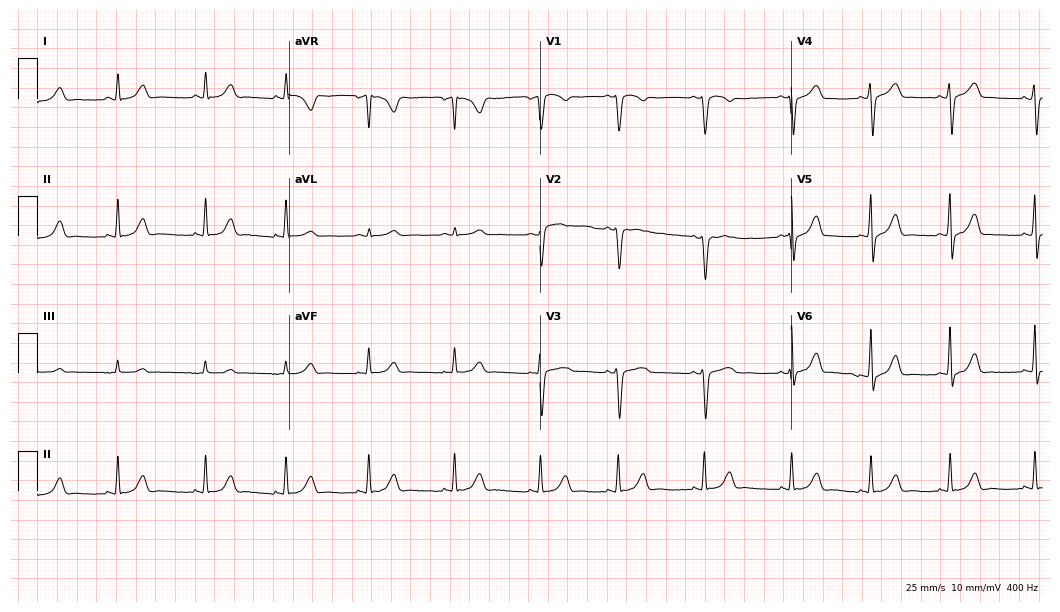
Standard 12-lead ECG recorded from a female, 25 years old. Read as a normal ECG.